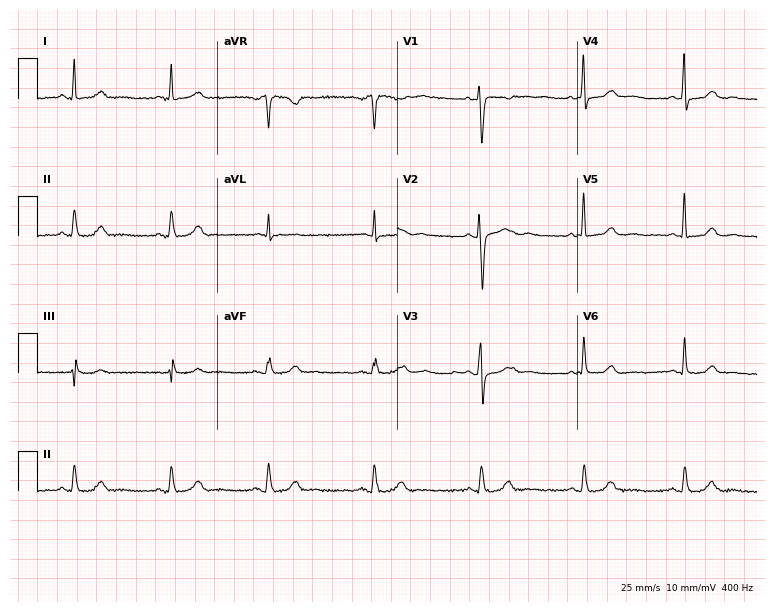
12-lead ECG from a 35-year-old female patient (7.3-second recording at 400 Hz). No first-degree AV block, right bundle branch block, left bundle branch block, sinus bradycardia, atrial fibrillation or sinus tachycardia recorded for this tracing.